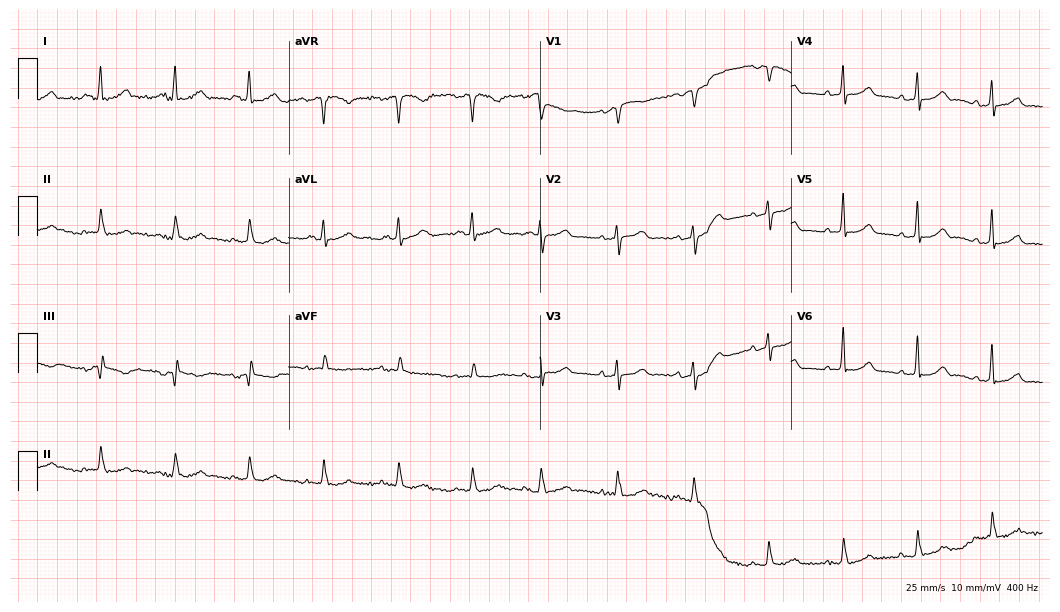
12-lead ECG (10.2-second recording at 400 Hz) from a female, 79 years old. Labelled as a normal ECG.